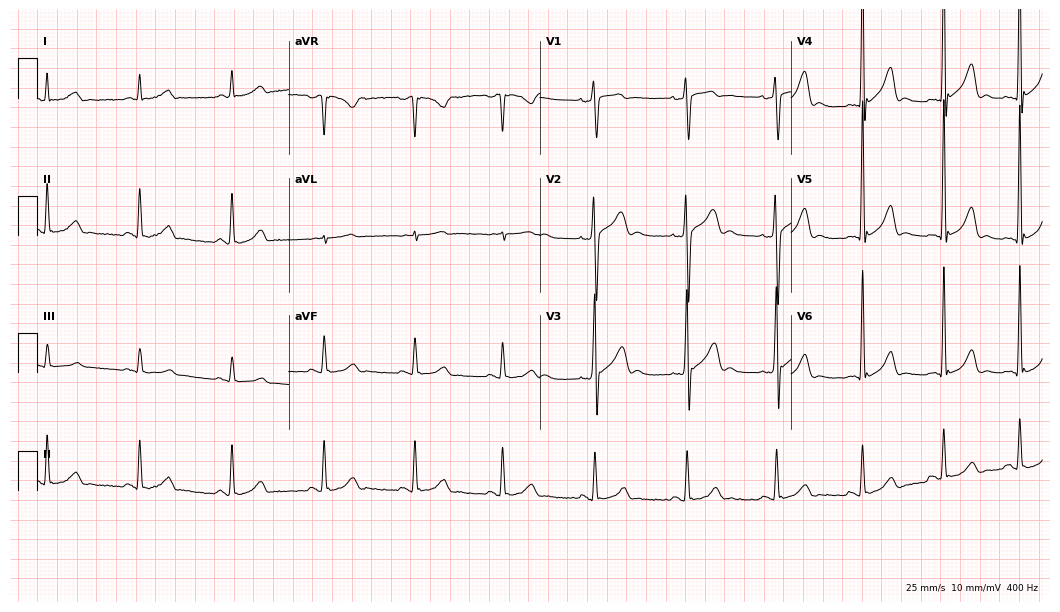
Electrocardiogram, a male, 51 years old. Of the six screened findings (first-degree AV block, right bundle branch block (RBBB), left bundle branch block (LBBB), sinus bradycardia, atrial fibrillation (AF), sinus tachycardia), none is recorded. Findings outside these six are not listed.